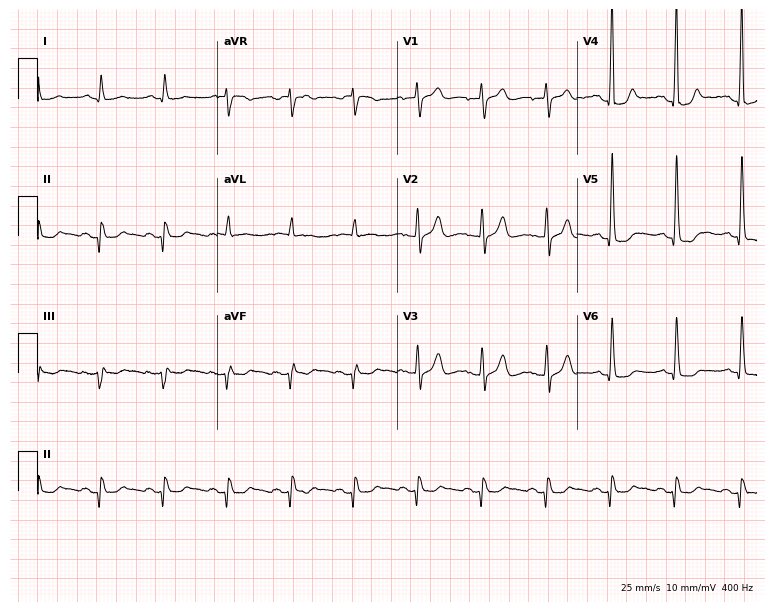
ECG (7.3-second recording at 400 Hz) — a 69-year-old male. Screened for six findings — first-degree AV block, right bundle branch block (RBBB), left bundle branch block (LBBB), sinus bradycardia, atrial fibrillation (AF), sinus tachycardia — none is recorded. Only these six findings were labelled.